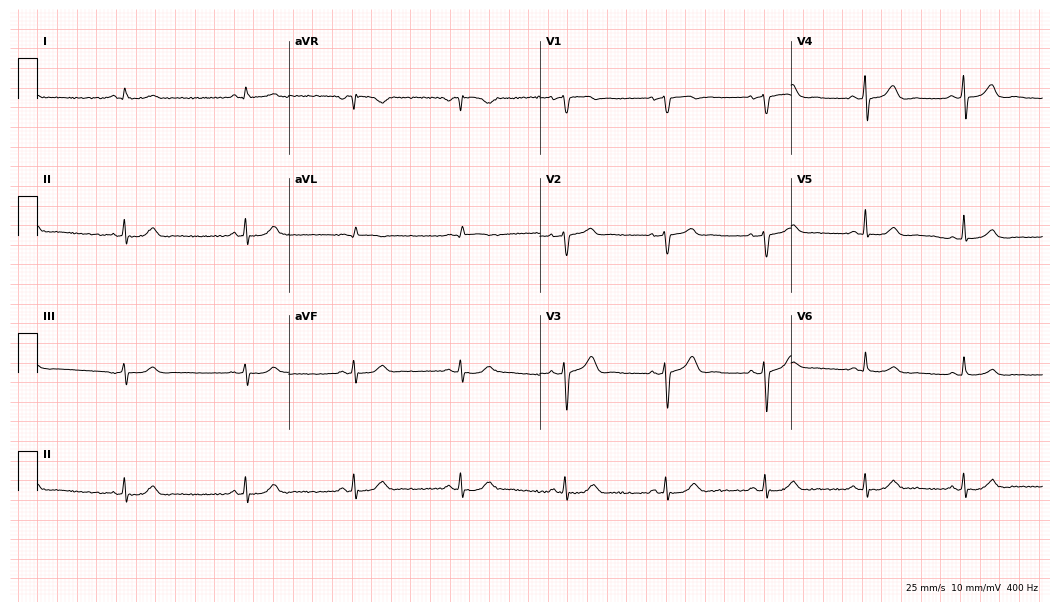
12-lead ECG from a man, 66 years old. Labelled as a normal ECG.